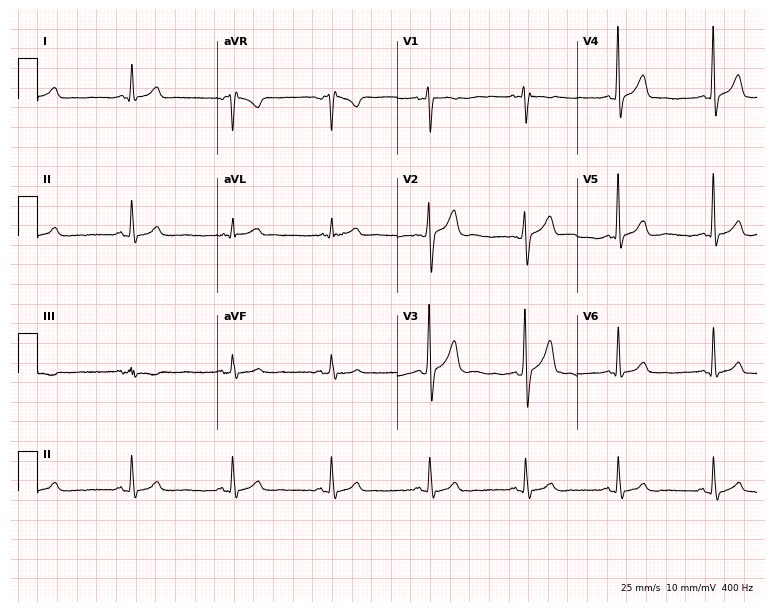
ECG (7.3-second recording at 400 Hz) — a 38-year-old male. Screened for six findings — first-degree AV block, right bundle branch block, left bundle branch block, sinus bradycardia, atrial fibrillation, sinus tachycardia — none is recorded.